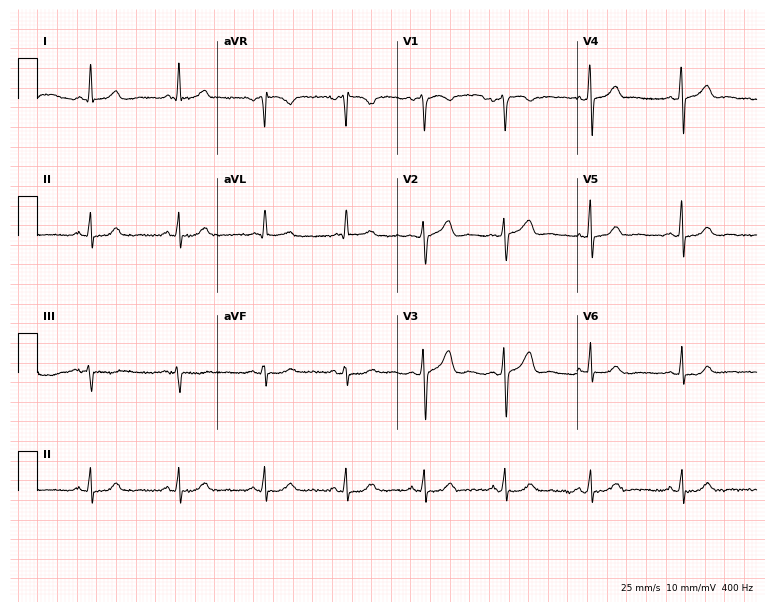
ECG (7.3-second recording at 400 Hz) — a 57-year-old woman. Labelled as a normal ECG.